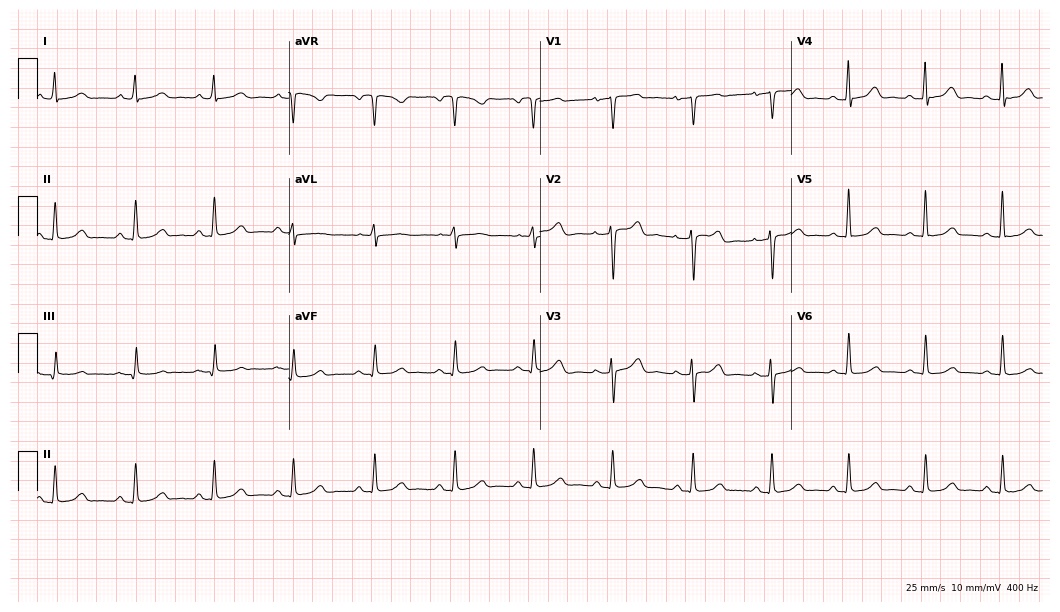
Standard 12-lead ECG recorded from a 64-year-old female patient. None of these six findings is recorded: first-degree AV block, right bundle branch block, left bundle branch block, sinus bradycardia, atrial fibrillation, sinus tachycardia.